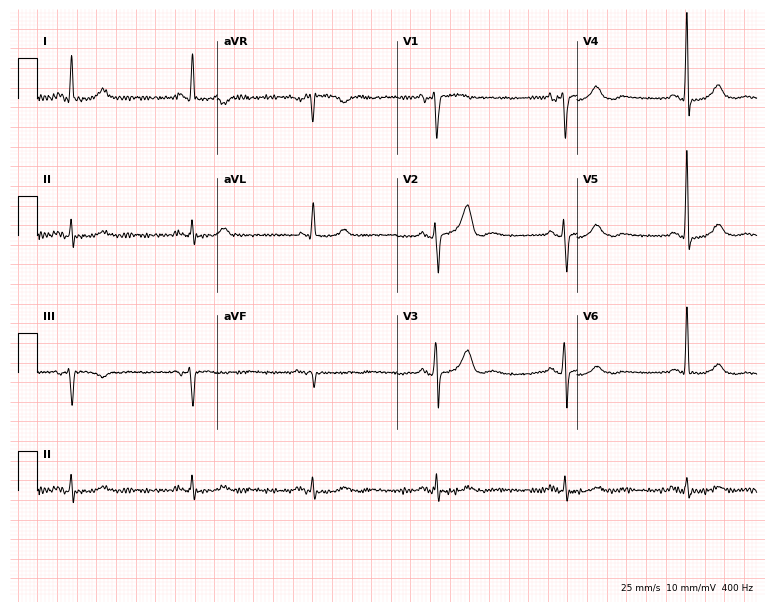
Electrocardiogram (7.3-second recording at 400 Hz), a man, 76 years old. Interpretation includes sinus bradycardia (a sinus rate of 50 beats per minute or less).